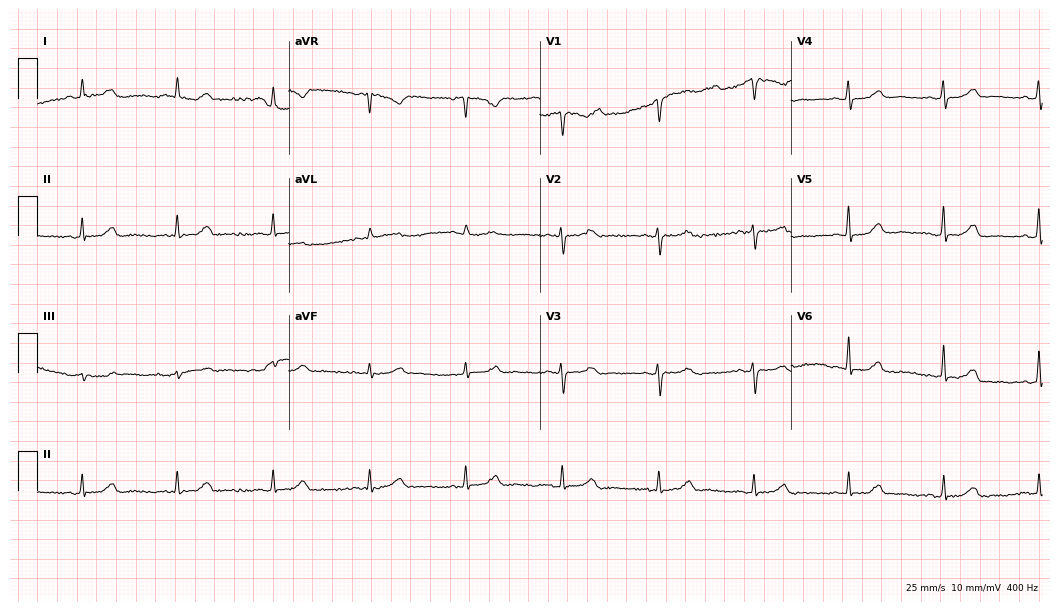
12-lead ECG from a woman, 53 years old. Recorded interpretation: within normal limits.